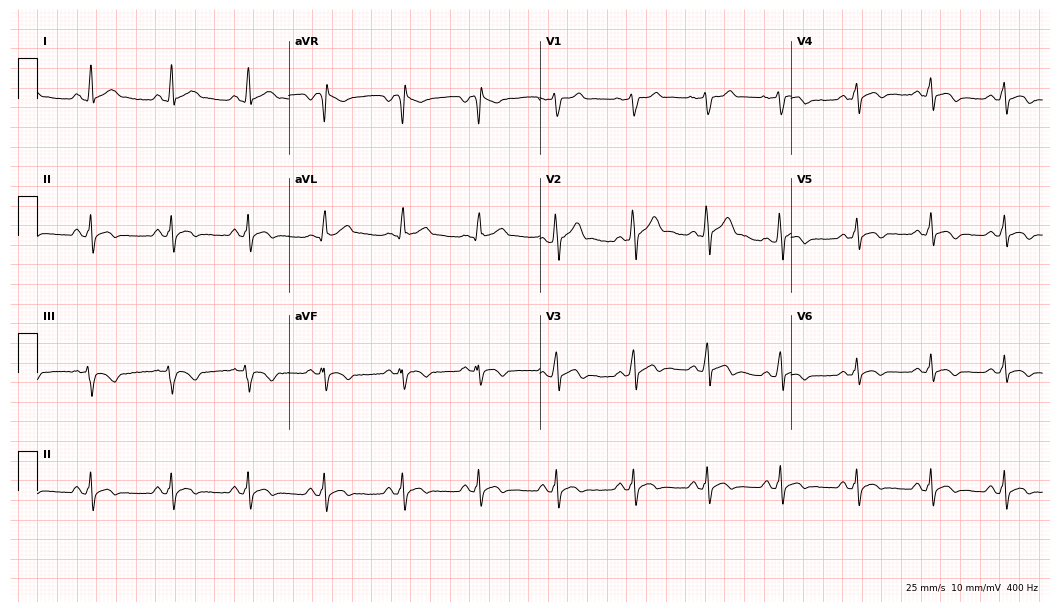
Resting 12-lead electrocardiogram (10.2-second recording at 400 Hz). Patient: a 28-year-old male. None of these six findings is recorded: first-degree AV block, right bundle branch block, left bundle branch block, sinus bradycardia, atrial fibrillation, sinus tachycardia.